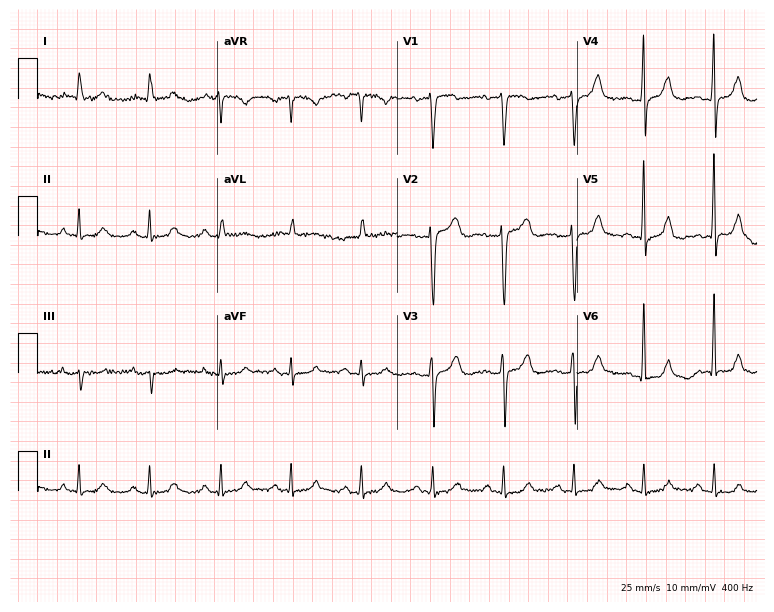
12-lead ECG from a man, 61 years old. Labelled as a normal ECG.